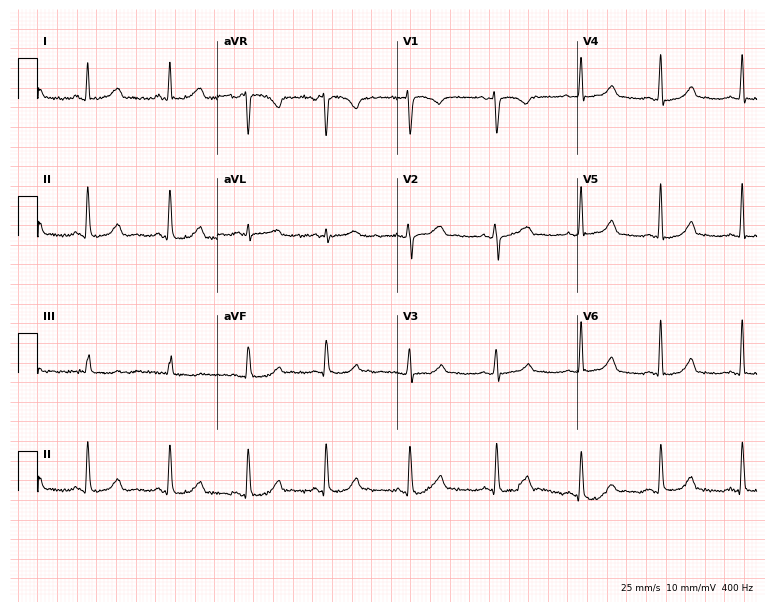
Electrocardiogram, a woman, 38 years old. Of the six screened findings (first-degree AV block, right bundle branch block (RBBB), left bundle branch block (LBBB), sinus bradycardia, atrial fibrillation (AF), sinus tachycardia), none is recorded.